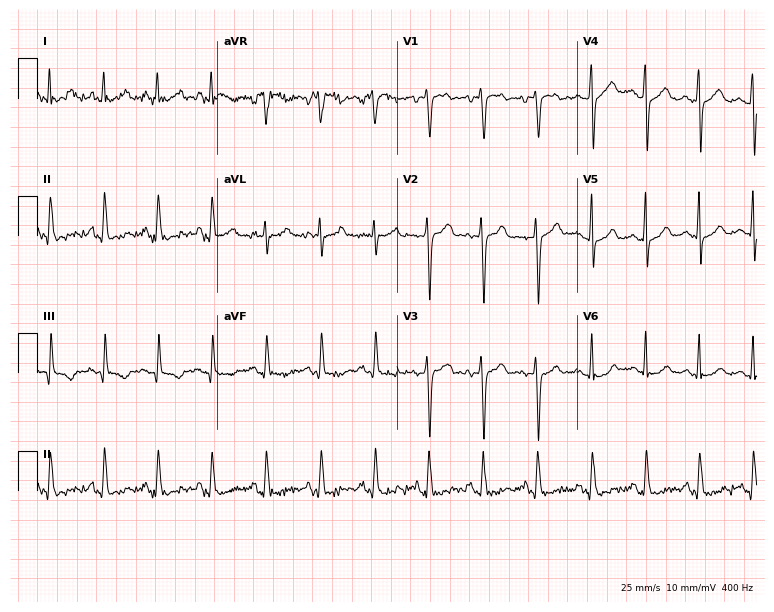
Resting 12-lead electrocardiogram. Patient: a 51-year-old female. The tracing shows sinus tachycardia (a sinus rate of 100 beats per minute or more).